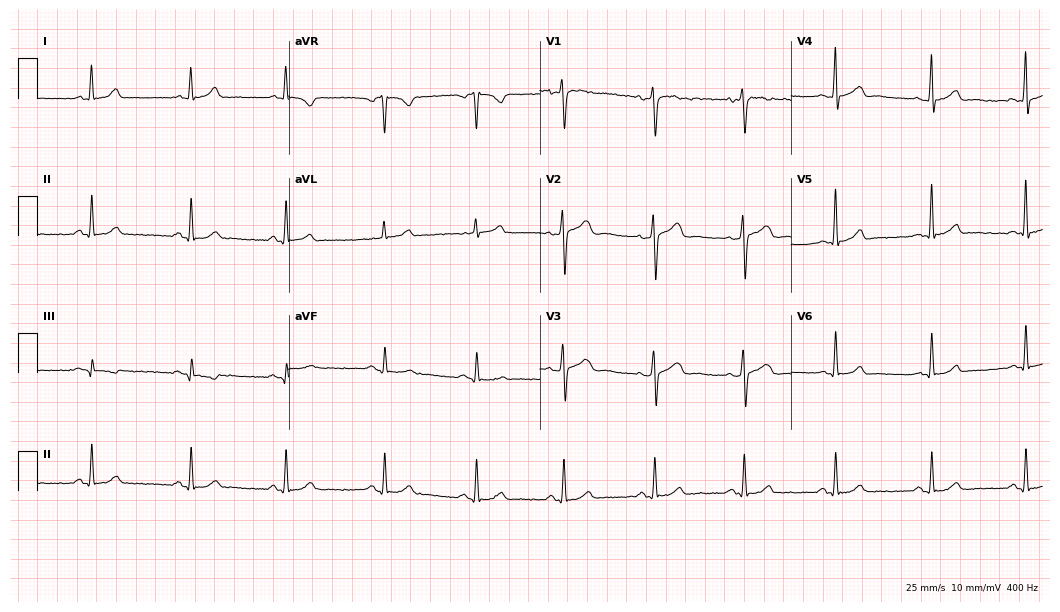
12-lead ECG from a male, 28 years old. Labelled as a normal ECG.